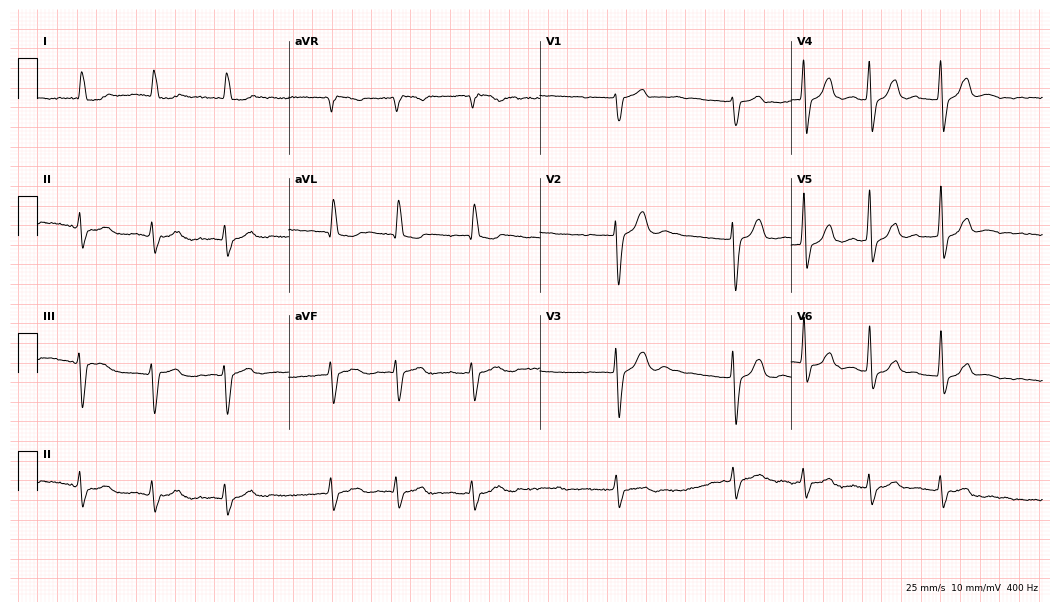
12-lead ECG from an 84-year-old female patient (10.2-second recording at 400 Hz). No first-degree AV block, right bundle branch block, left bundle branch block, sinus bradycardia, atrial fibrillation or sinus tachycardia recorded for this tracing.